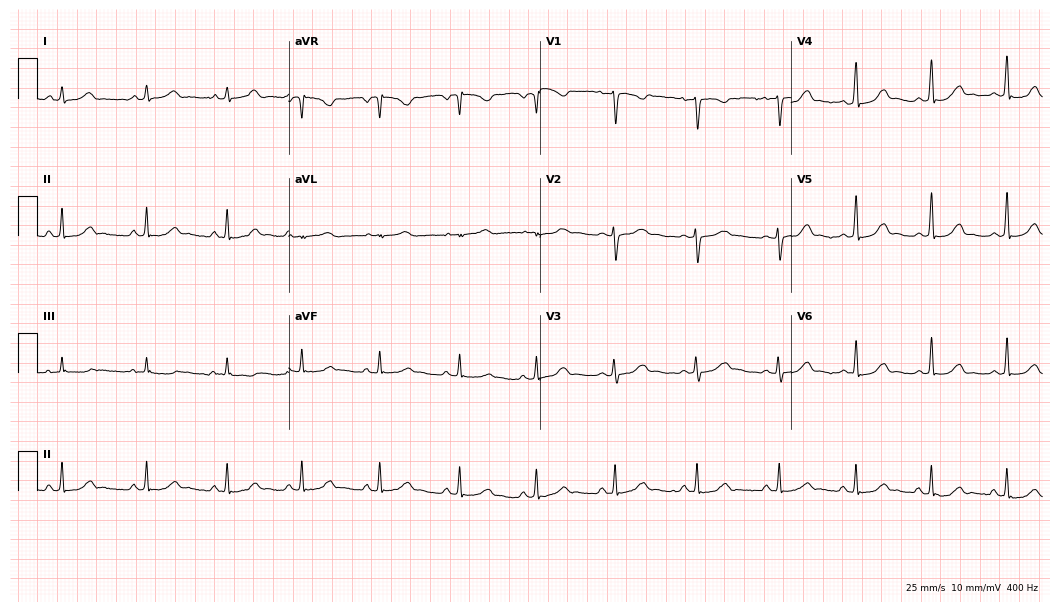
Standard 12-lead ECG recorded from a female, 25 years old (10.2-second recording at 400 Hz). Read as a normal ECG.